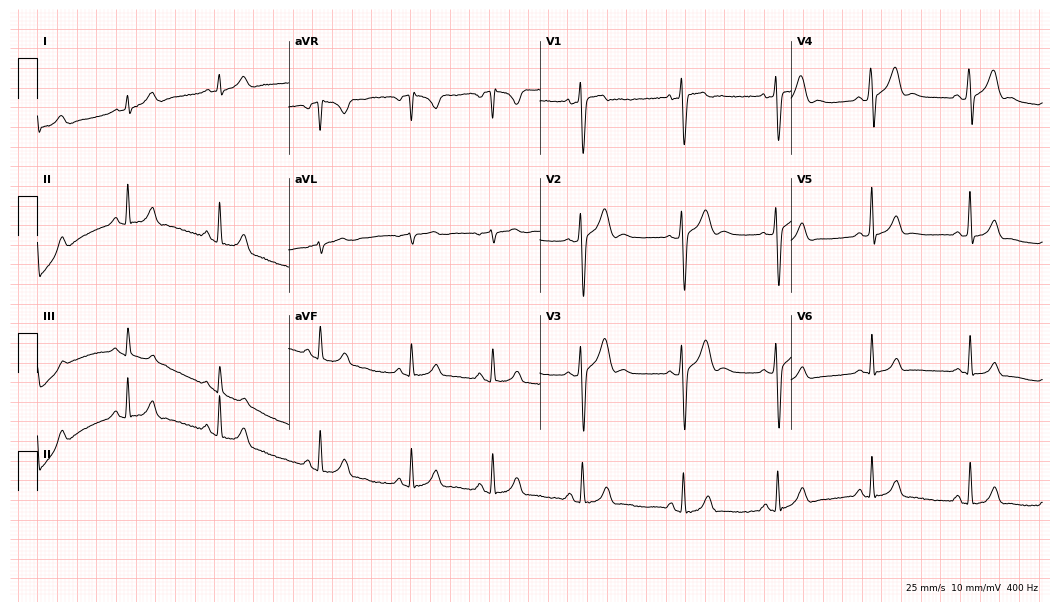
Resting 12-lead electrocardiogram (10.2-second recording at 400 Hz). Patient: a 21-year-old male. Read as a normal ECG.